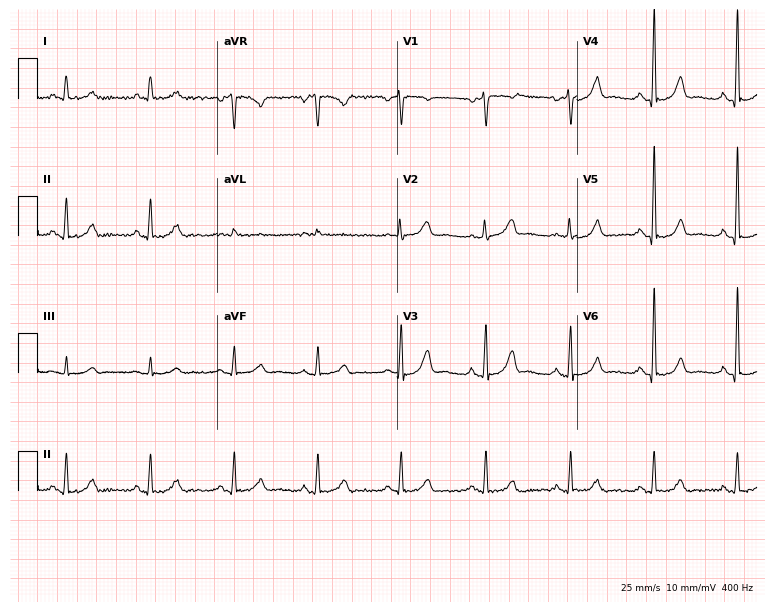
12-lead ECG (7.3-second recording at 400 Hz) from a 55-year-old female patient. Screened for six findings — first-degree AV block, right bundle branch block, left bundle branch block, sinus bradycardia, atrial fibrillation, sinus tachycardia — none is recorded. Other findings, if any, are not listed.